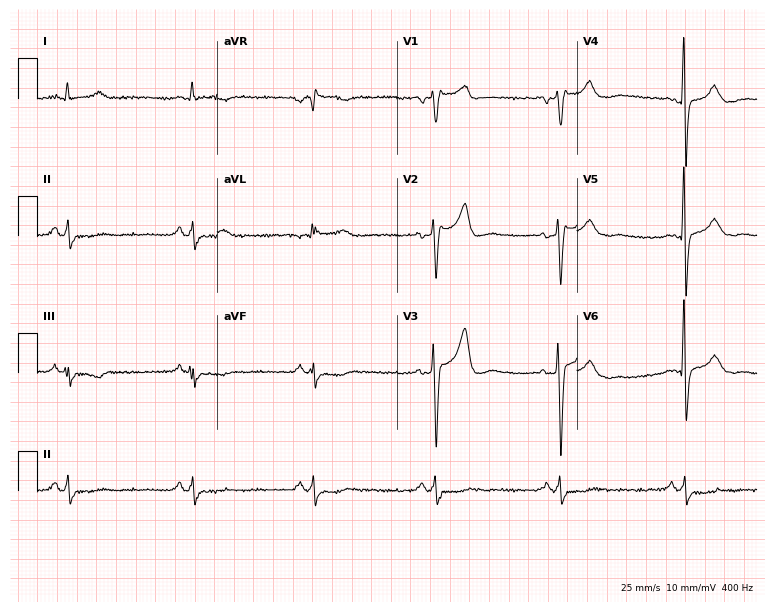
Standard 12-lead ECG recorded from a 63-year-old man. None of these six findings is recorded: first-degree AV block, right bundle branch block, left bundle branch block, sinus bradycardia, atrial fibrillation, sinus tachycardia. Only these six findings were labelled.